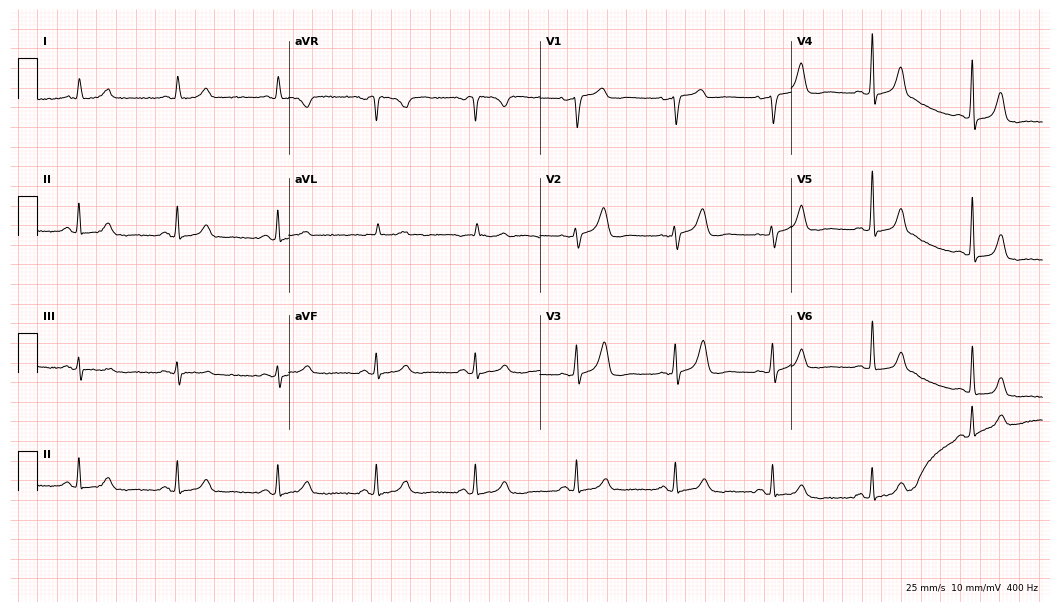
Resting 12-lead electrocardiogram (10.2-second recording at 400 Hz). Patient: a 74-year-old woman. Read as a normal ECG.